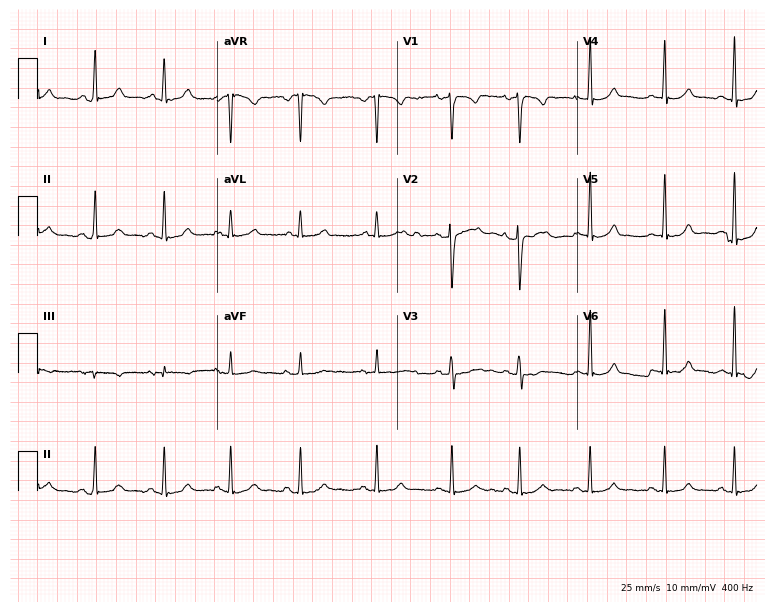
Electrocardiogram (7.3-second recording at 400 Hz), a female, 24 years old. Of the six screened findings (first-degree AV block, right bundle branch block, left bundle branch block, sinus bradycardia, atrial fibrillation, sinus tachycardia), none is recorded. Findings outside these six are not listed.